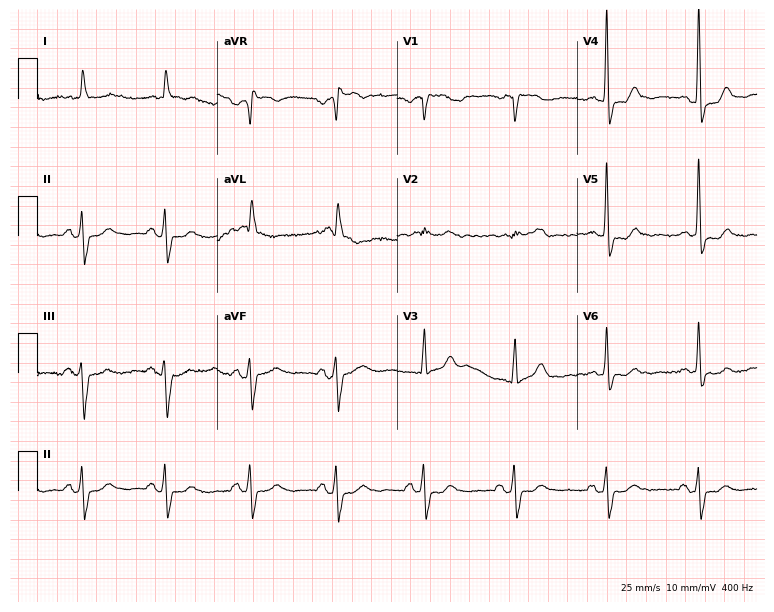
12-lead ECG from a female, 84 years old (7.3-second recording at 400 Hz). No first-degree AV block, right bundle branch block, left bundle branch block, sinus bradycardia, atrial fibrillation or sinus tachycardia recorded for this tracing. Findings outside these six are not listed.